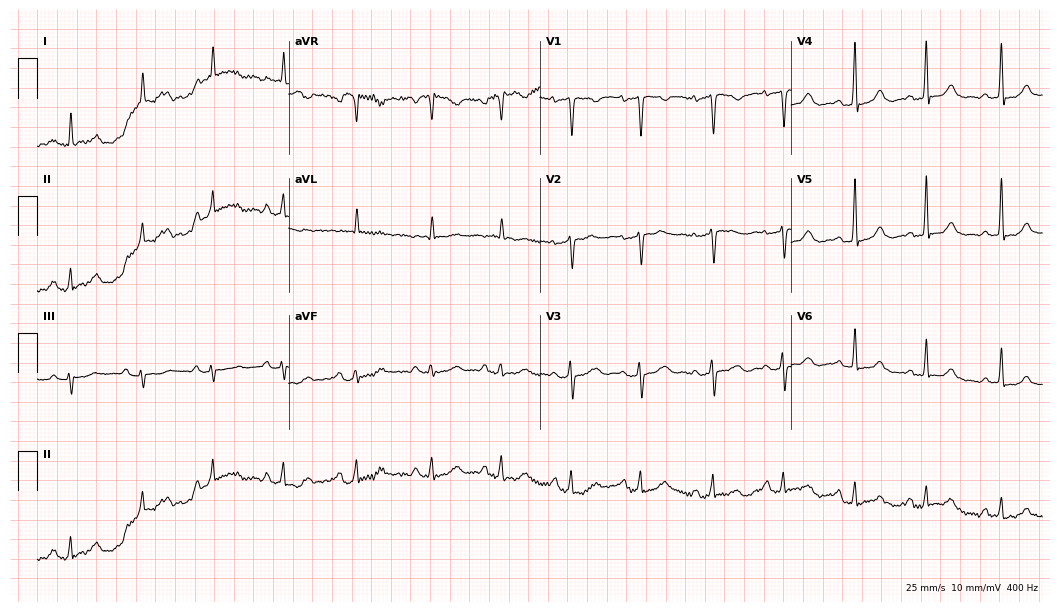
Electrocardiogram, a female, 42 years old. Of the six screened findings (first-degree AV block, right bundle branch block, left bundle branch block, sinus bradycardia, atrial fibrillation, sinus tachycardia), none is recorded.